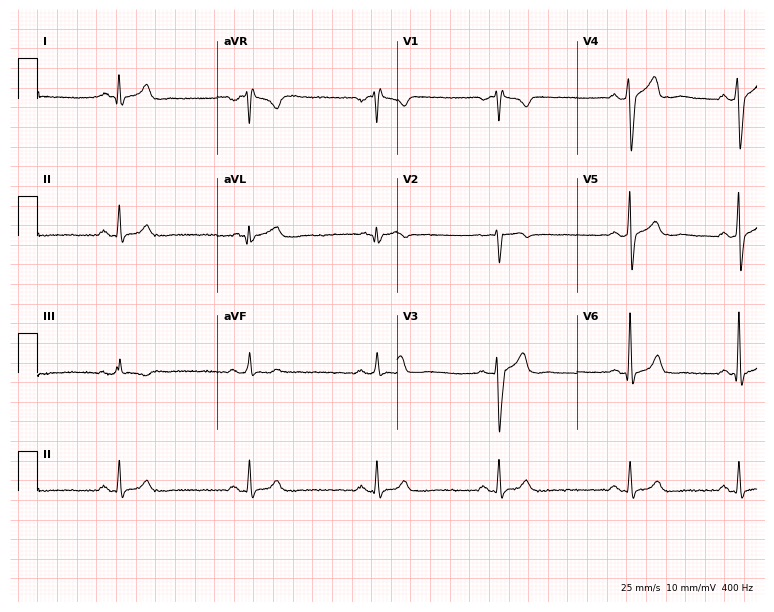
Electrocardiogram (7.3-second recording at 400 Hz), a 33-year-old man. Interpretation includes sinus bradycardia (a sinus rate of 50 beats per minute or less).